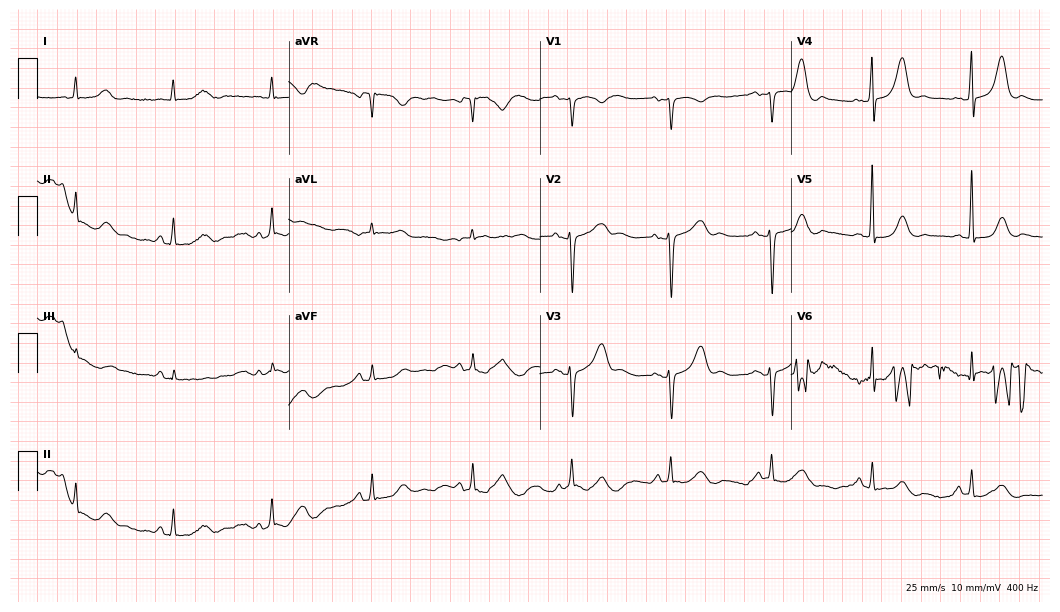
Standard 12-lead ECG recorded from a female patient, 49 years old. Read as a normal ECG.